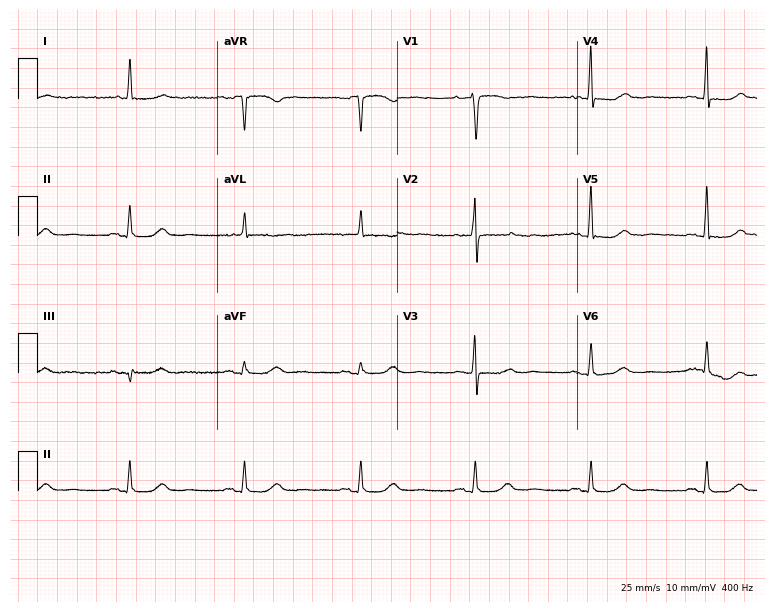
12-lead ECG from a female patient, 81 years old (7.3-second recording at 400 Hz). Recorded interpretation: within normal limits.